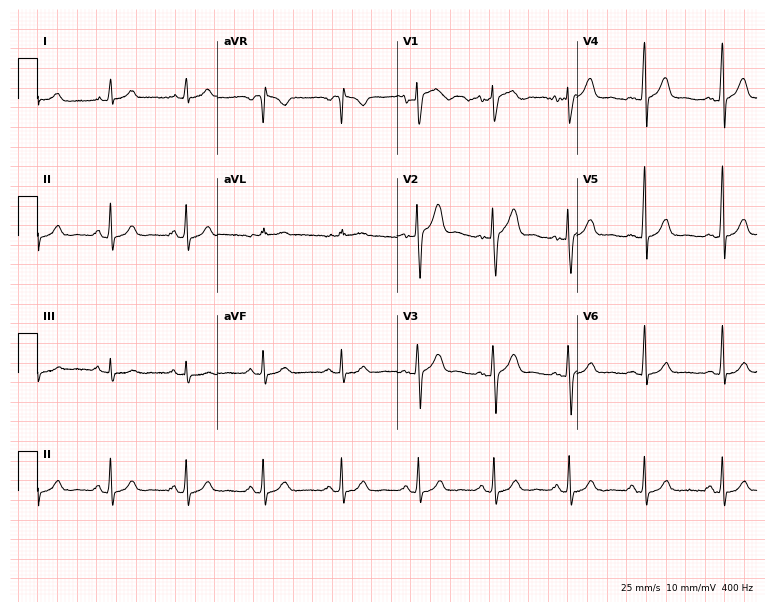
ECG — a 34-year-old male patient. Labelled as a normal ECG.